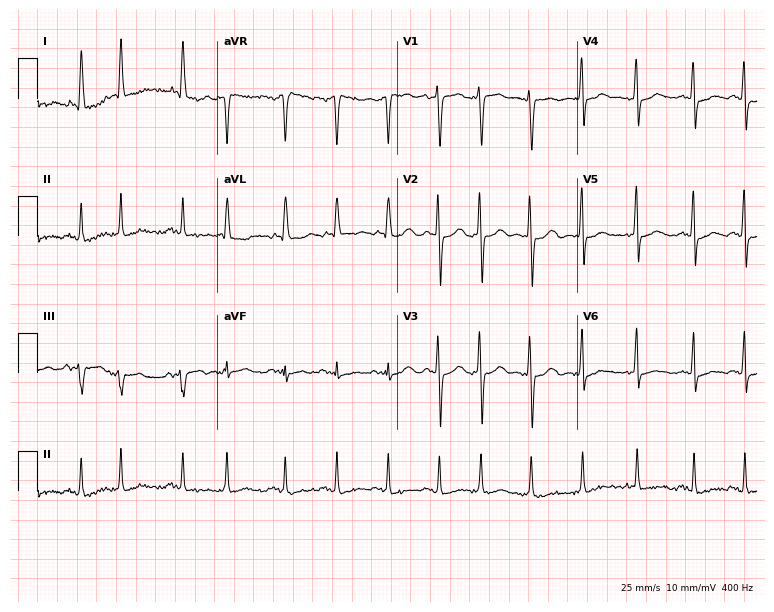
12-lead ECG from a woman, 77 years old. Findings include atrial fibrillation.